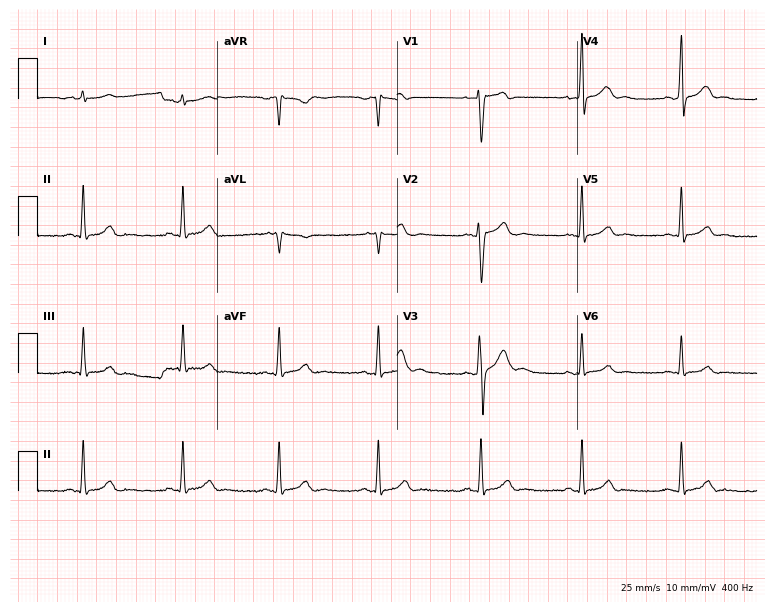
Resting 12-lead electrocardiogram. Patient: a male, 30 years old. Read as a normal ECG.